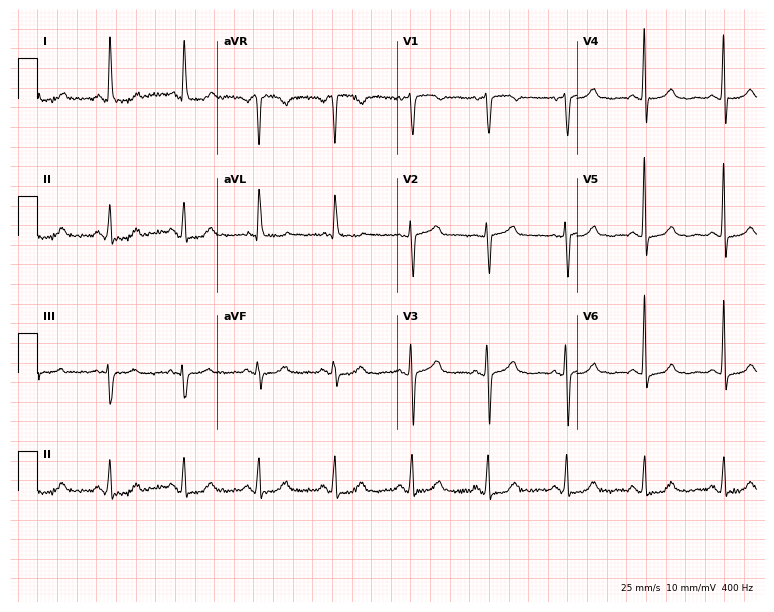
Standard 12-lead ECG recorded from a female patient, 74 years old (7.3-second recording at 400 Hz). None of these six findings is recorded: first-degree AV block, right bundle branch block (RBBB), left bundle branch block (LBBB), sinus bradycardia, atrial fibrillation (AF), sinus tachycardia. Only these six findings were labelled.